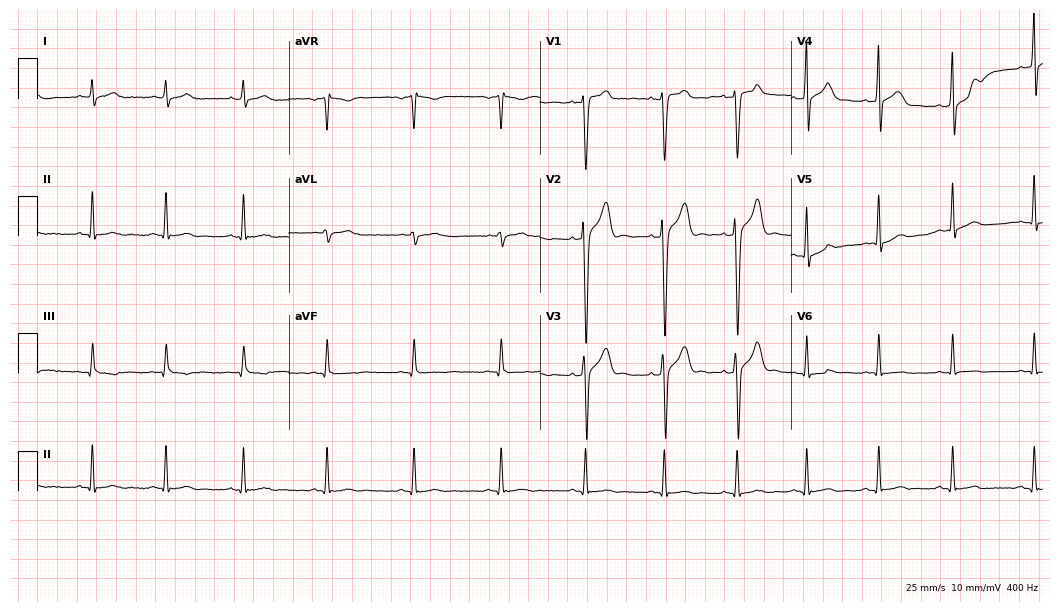
12-lead ECG from a male, 27 years old. Screened for six findings — first-degree AV block, right bundle branch block, left bundle branch block, sinus bradycardia, atrial fibrillation, sinus tachycardia — none is recorded. Other findings, if any, are not listed.